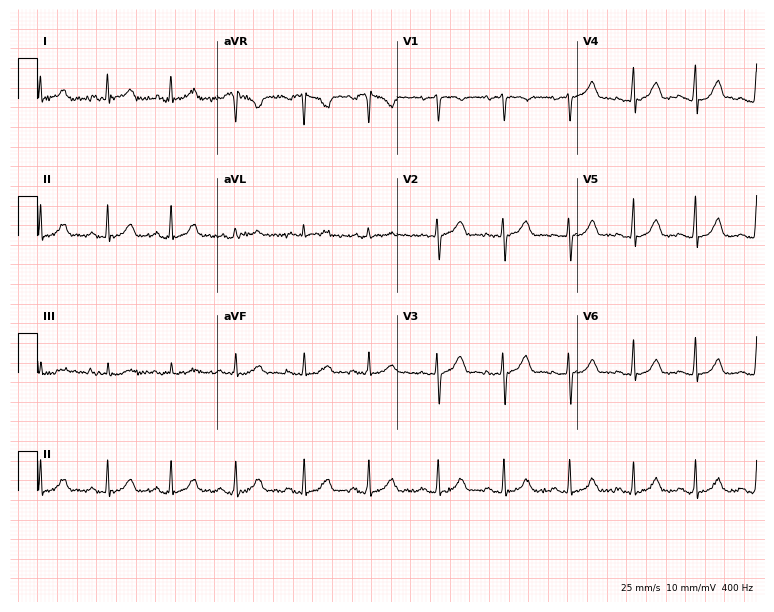
Electrocardiogram, a 27-year-old female. Overall reading on record: normal ECG.